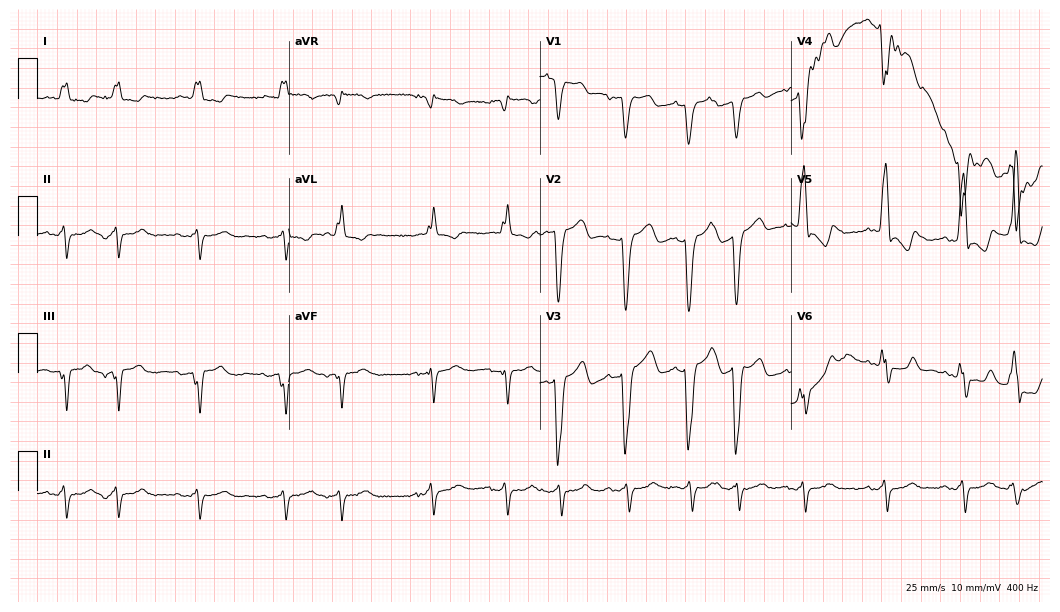
Resting 12-lead electrocardiogram. Patient: a 70-year-old woman. The tracing shows left bundle branch block.